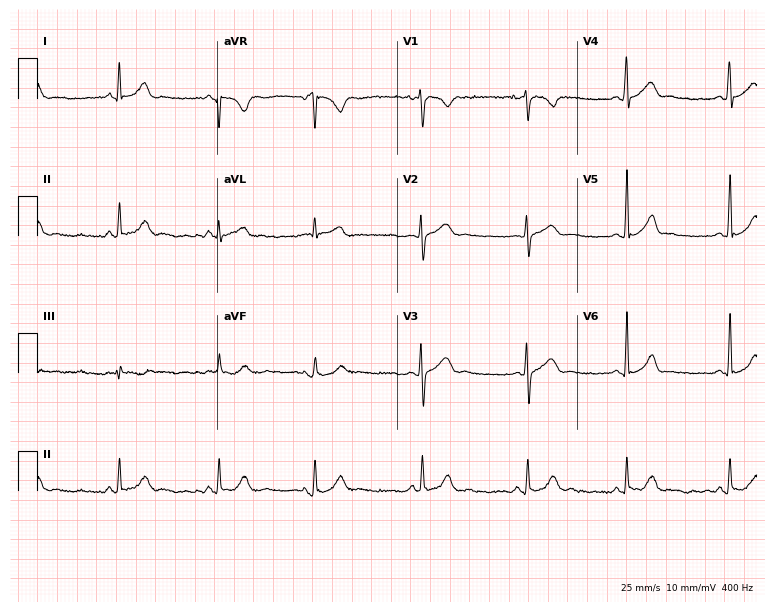
ECG — a female patient, 21 years old. Labelled as a normal ECG.